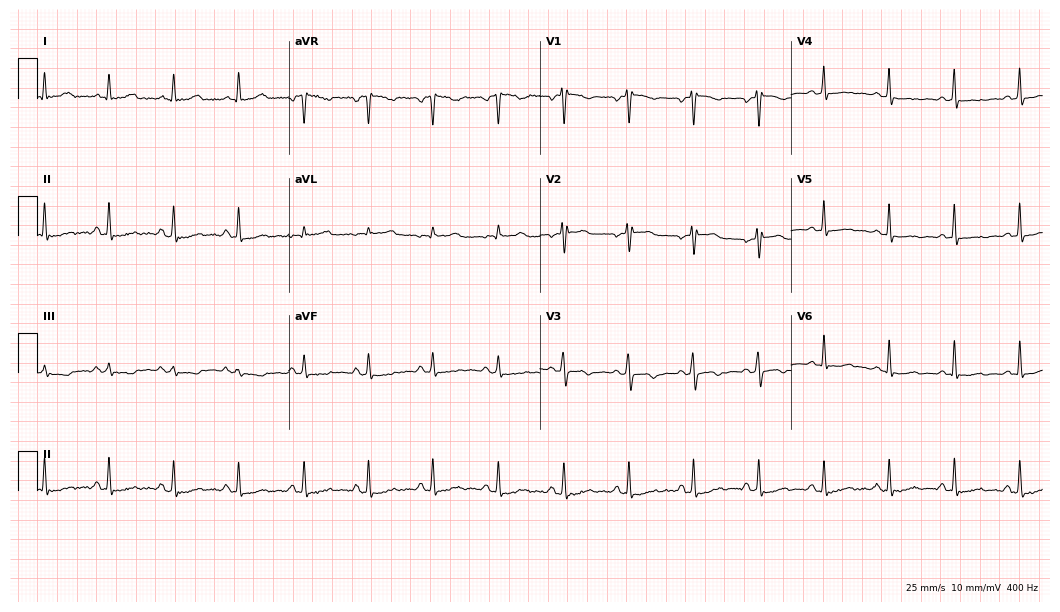
Standard 12-lead ECG recorded from a female, 44 years old (10.2-second recording at 400 Hz). None of these six findings is recorded: first-degree AV block, right bundle branch block, left bundle branch block, sinus bradycardia, atrial fibrillation, sinus tachycardia. Other findings, if any, are not listed.